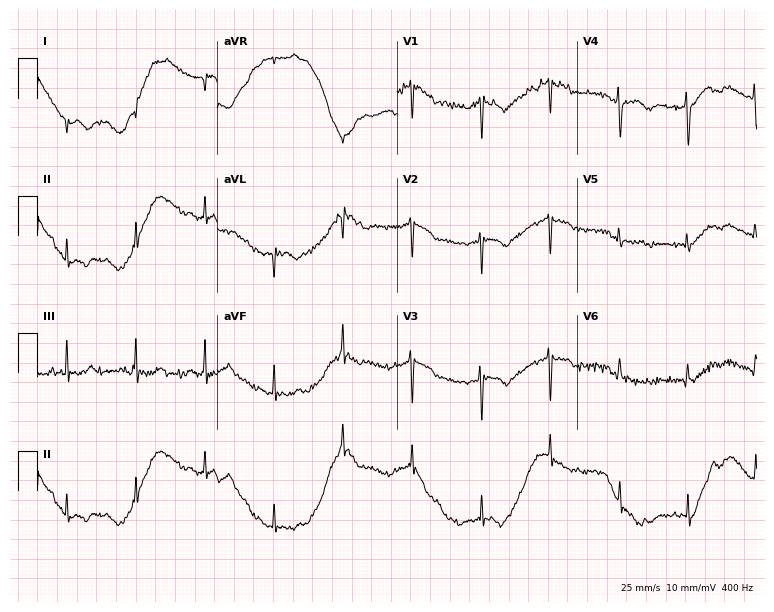
Standard 12-lead ECG recorded from a 61-year-old male patient. None of these six findings is recorded: first-degree AV block, right bundle branch block, left bundle branch block, sinus bradycardia, atrial fibrillation, sinus tachycardia. Other findings, if any, are not listed.